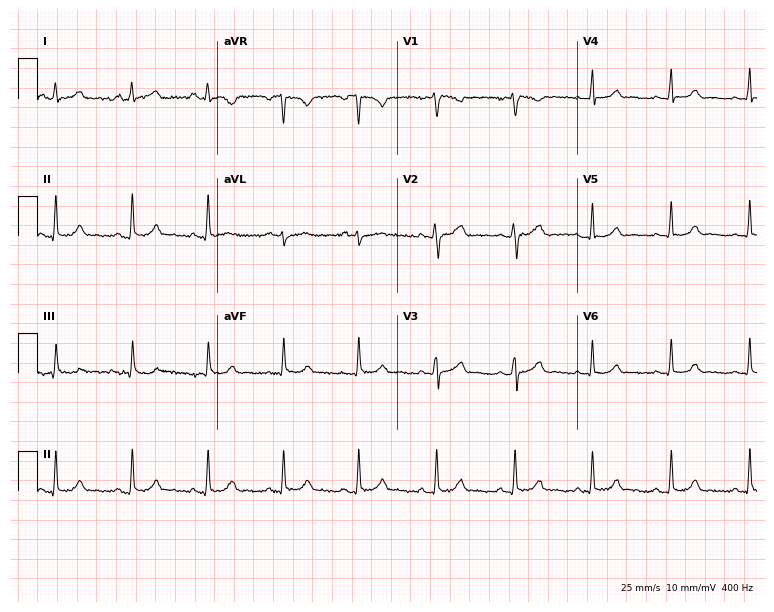
12-lead ECG from a 35-year-old female (7.3-second recording at 400 Hz). Recorded interpretation: within normal limits.